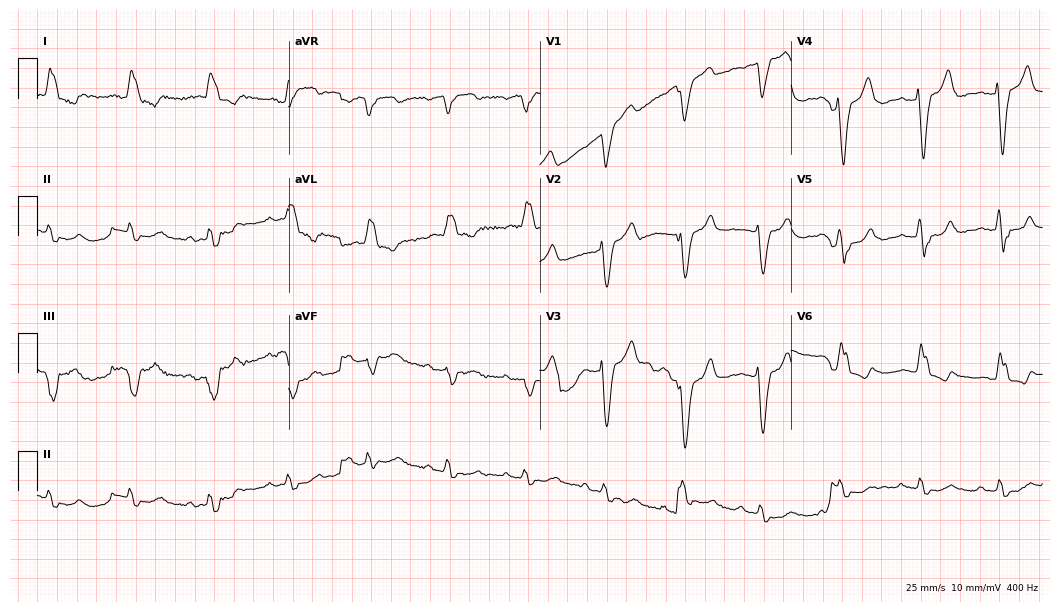
Standard 12-lead ECG recorded from an 80-year-old woman. The tracing shows left bundle branch block.